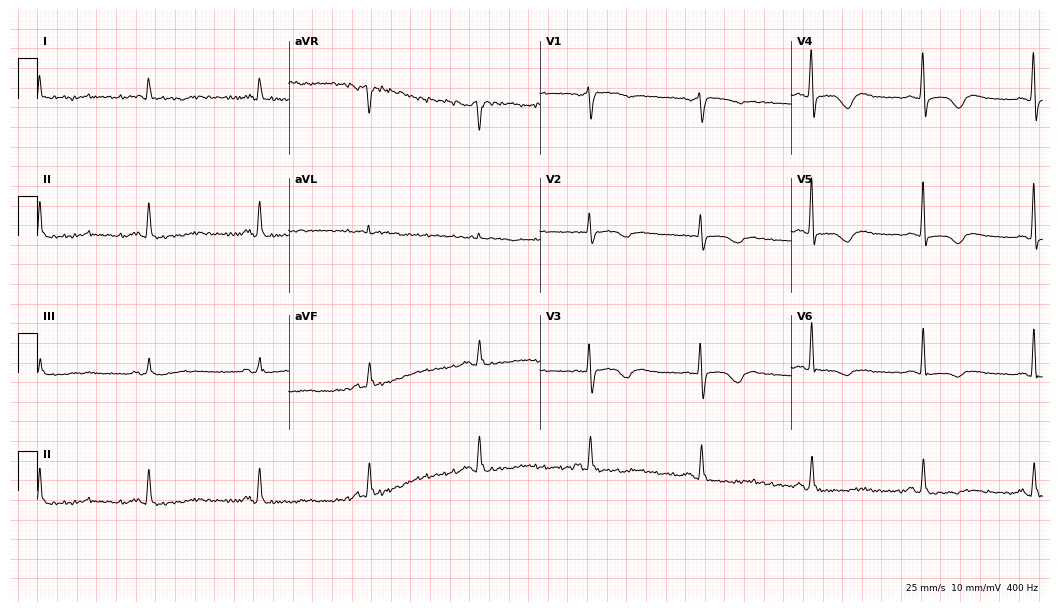
Standard 12-lead ECG recorded from a 75-year-old female (10.2-second recording at 400 Hz). None of these six findings is recorded: first-degree AV block, right bundle branch block (RBBB), left bundle branch block (LBBB), sinus bradycardia, atrial fibrillation (AF), sinus tachycardia. Only these six findings were labelled.